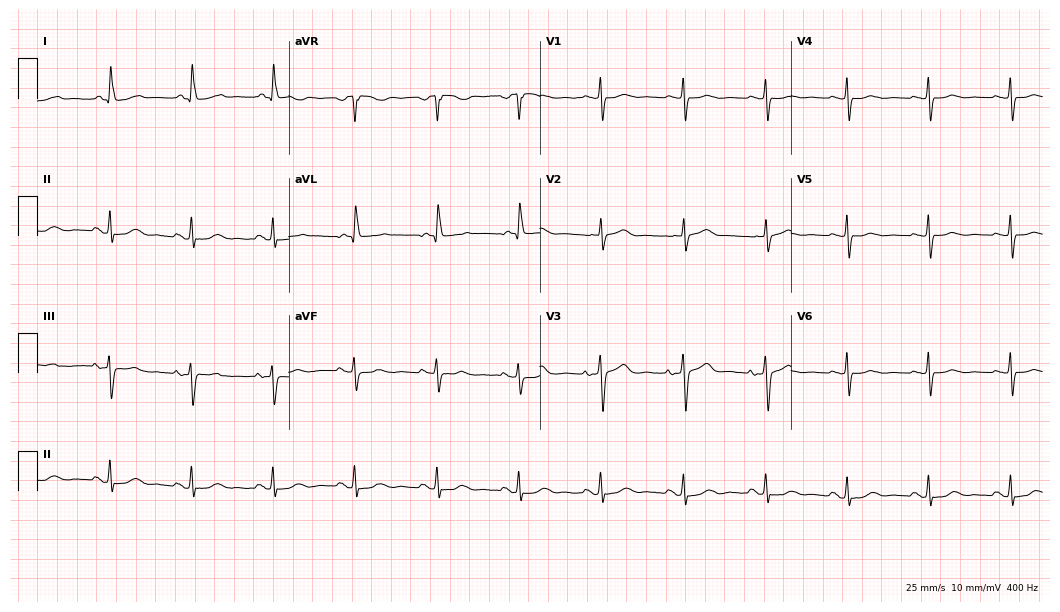
ECG (10.2-second recording at 400 Hz) — a 76-year-old female. Screened for six findings — first-degree AV block, right bundle branch block, left bundle branch block, sinus bradycardia, atrial fibrillation, sinus tachycardia — none is recorded.